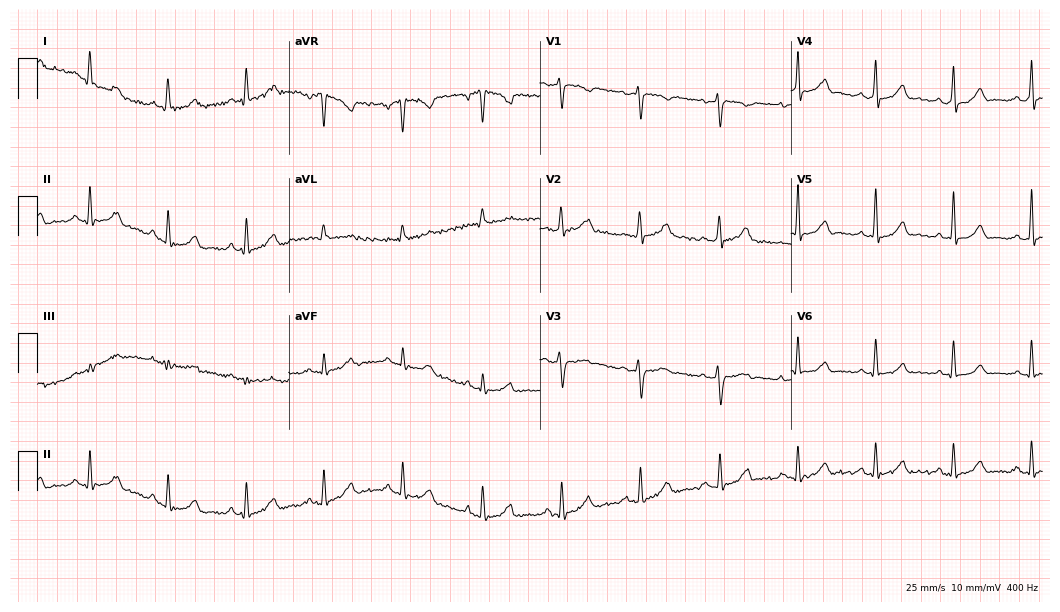
ECG — a female patient, 39 years old. Labelled as a normal ECG.